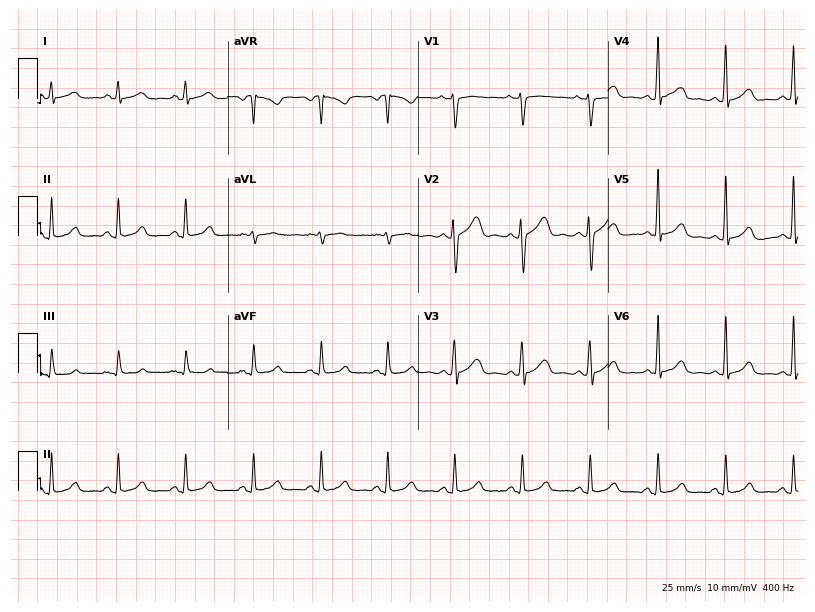
Resting 12-lead electrocardiogram (7.8-second recording at 400 Hz). Patient: a 31-year-old female. Read as a normal ECG.